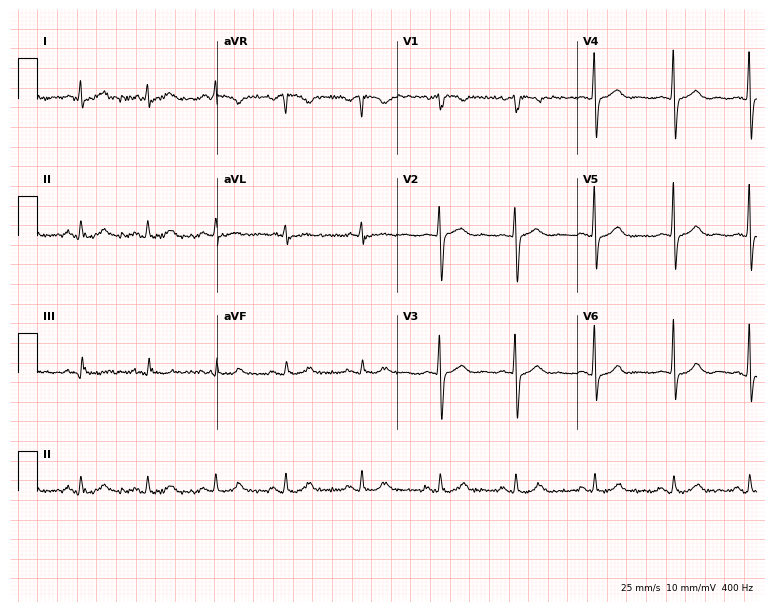
Standard 12-lead ECG recorded from a woman, 25 years old. Read as a normal ECG.